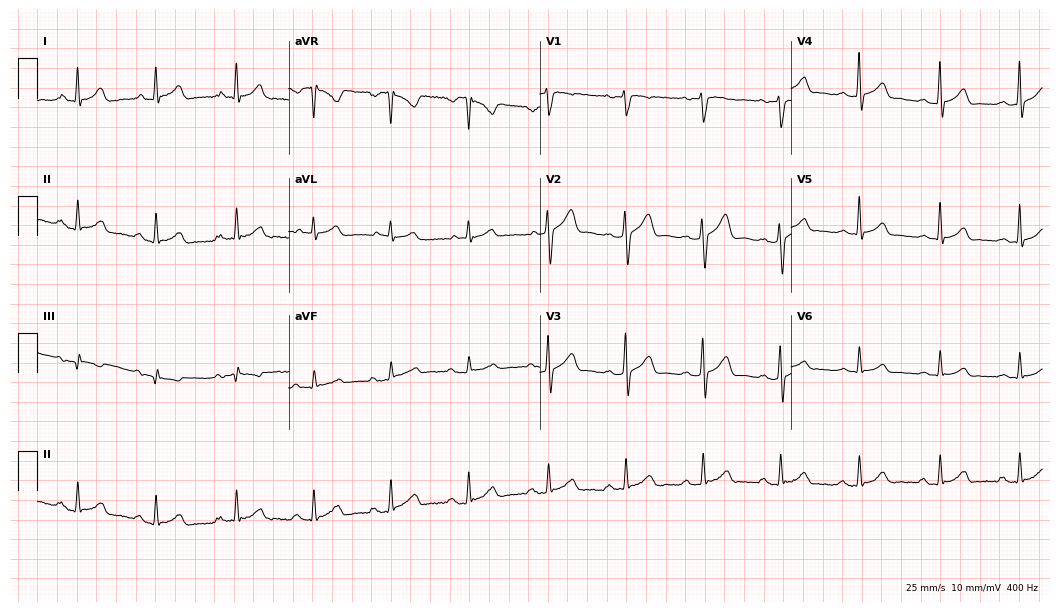
ECG (10.2-second recording at 400 Hz) — a male, 75 years old. Labelled as a normal ECG.